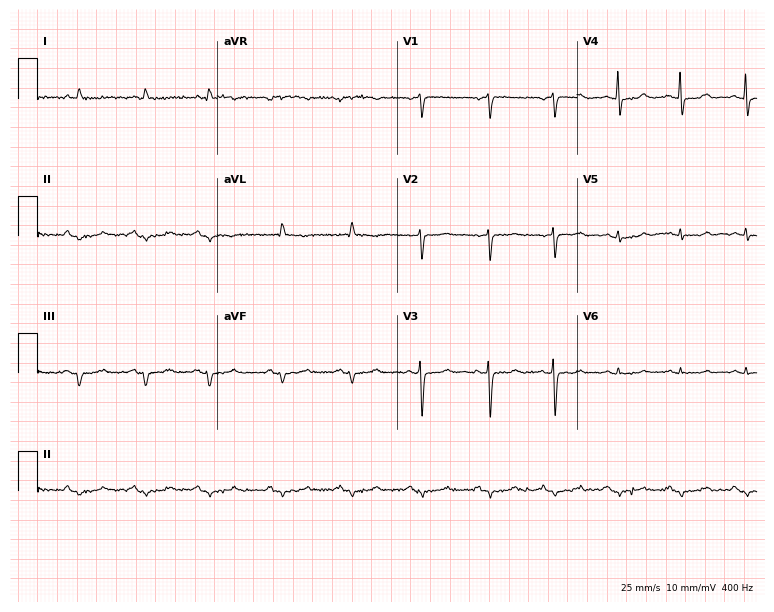
Electrocardiogram, a 65-year-old female. Of the six screened findings (first-degree AV block, right bundle branch block, left bundle branch block, sinus bradycardia, atrial fibrillation, sinus tachycardia), none is recorded.